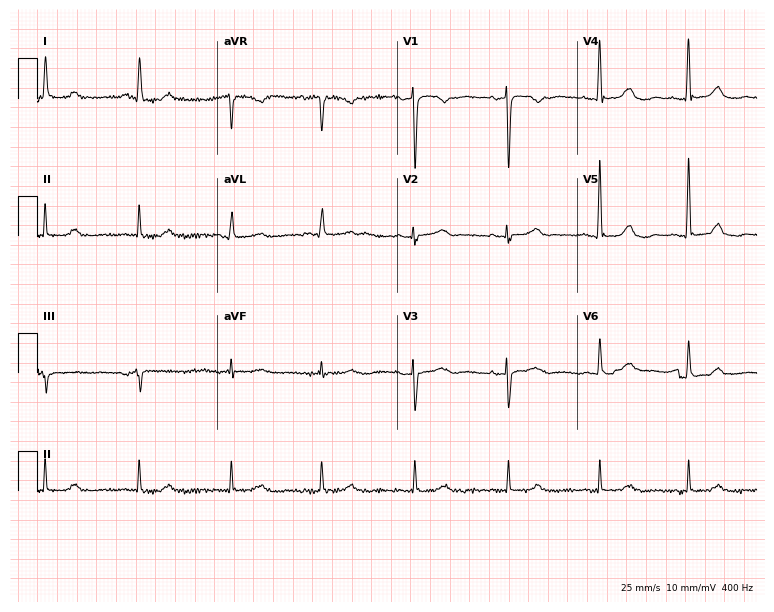
12-lead ECG from an 84-year-old woman. Recorded interpretation: within normal limits.